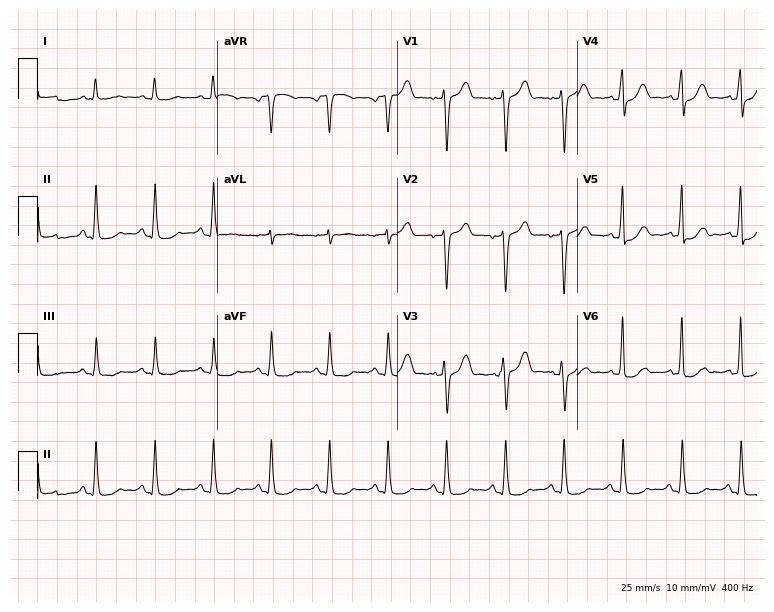
Resting 12-lead electrocardiogram (7.3-second recording at 400 Hz). Patient: a male, 67 years old. The tracing shows sinus tachycardia (a sinus rate of 100 beats per minute or more).